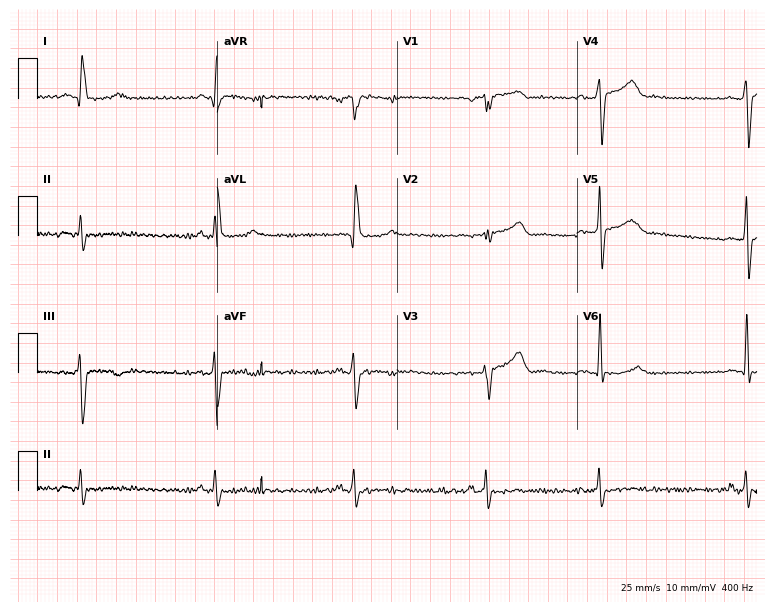
ECG — a 67-year-old male. Findings include right bundle branch block (RBBB).